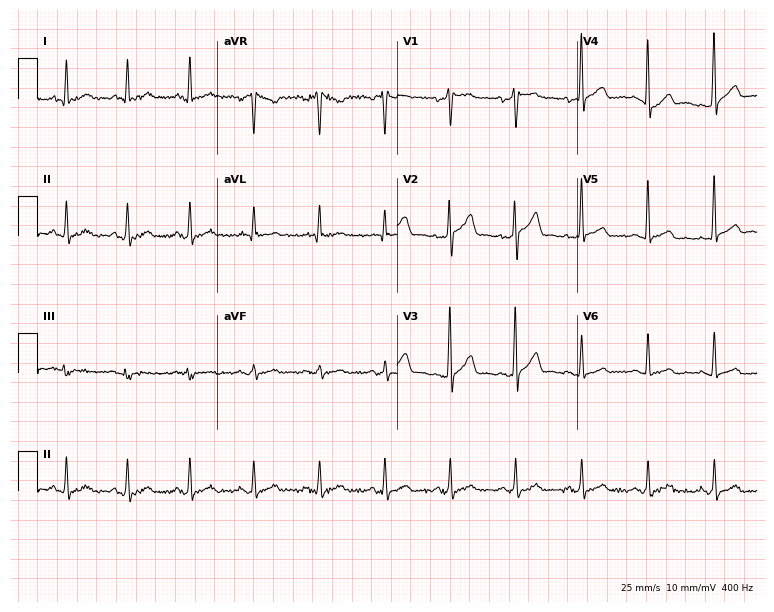
Electrocardiogram, a male patient, 51 years old. Overall reading on record: normal ECG.